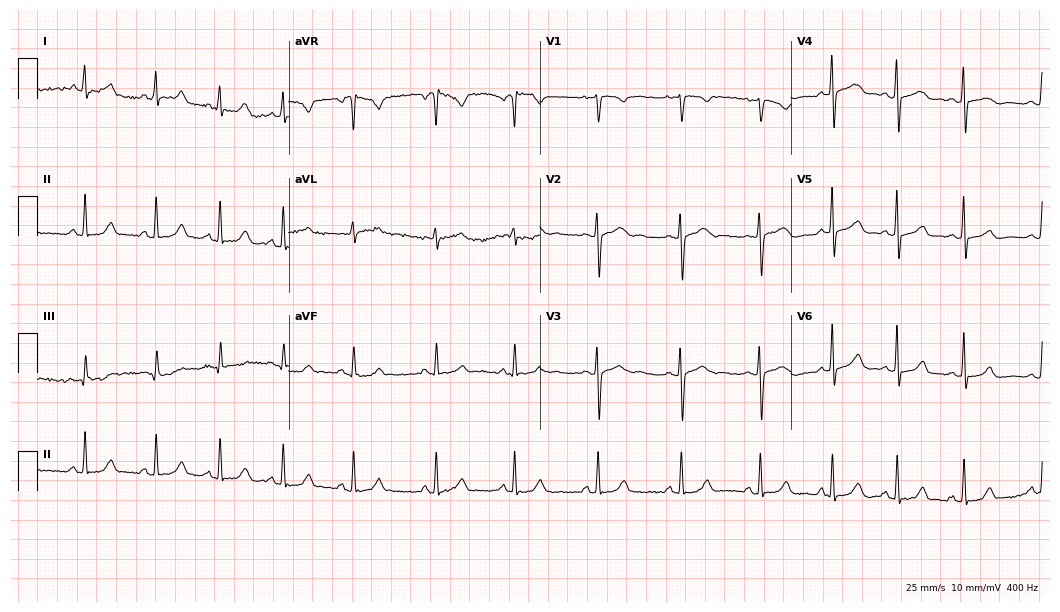
Electrocardiogram (10.2-second recording at 400 Hz), a woman, 23 years old. Overall reading on record: normal ECG.